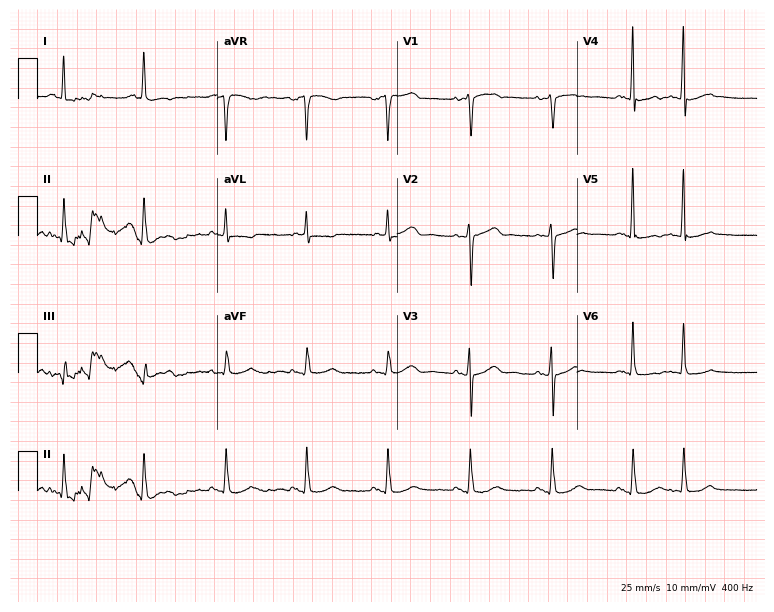
12-lead ECG from a woman, 68 years old. No first-degree AV block, right bundle branch block, left bundle branch block, sinus bradycardia, atrial fibrillation or sinus tachycardia recorded for this tracing.